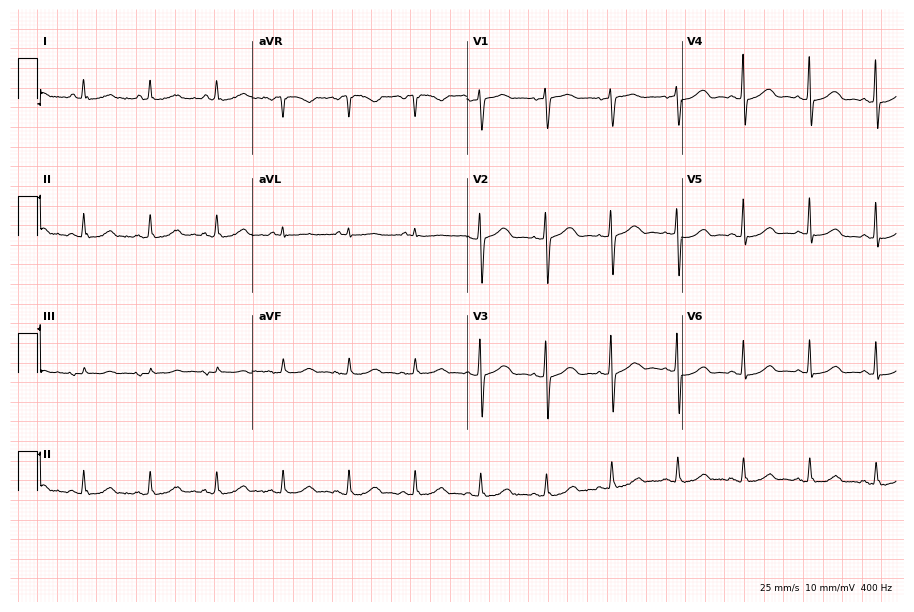
Standard 12-lead ECG recorded from a female, 77 years old. Read as a normal ECG.